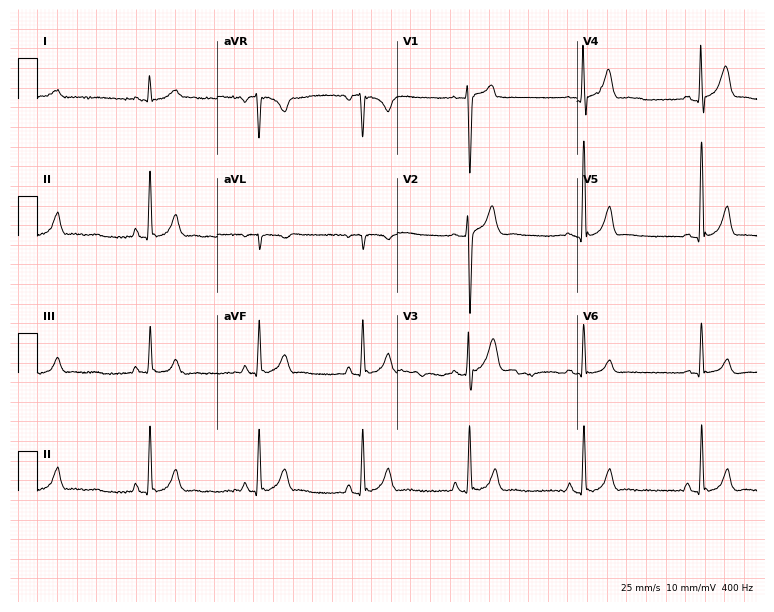
ECG (7.3-second recording at 400 Hz) — a male patient, 36 years old. Labelled as a normal ECG.